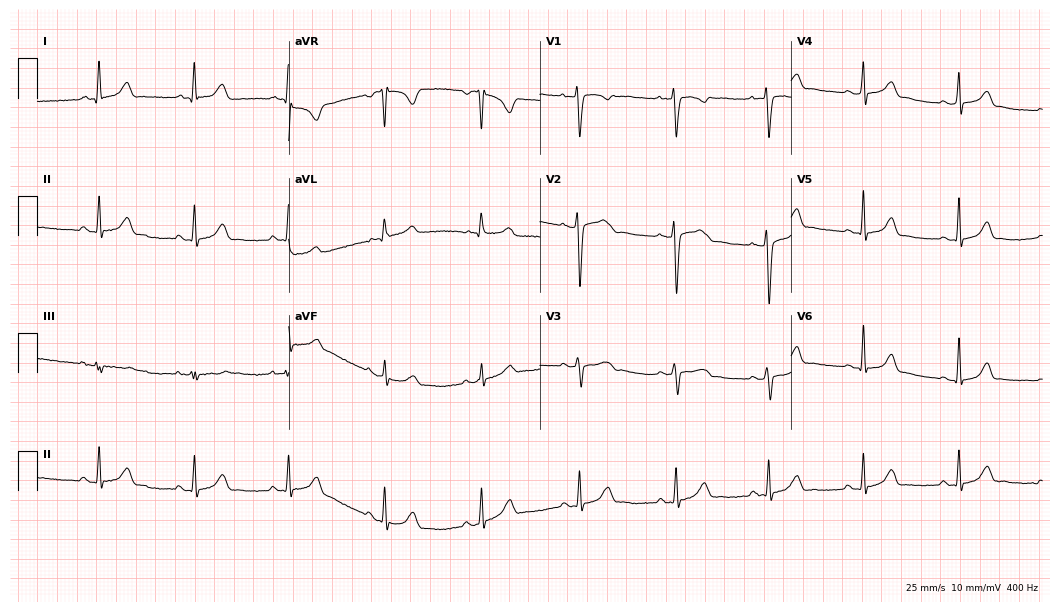
Electrocardiogram (10.2-second recording at 400 Hz), a 20-year-old woman. Overall reading on record: normal ECG.